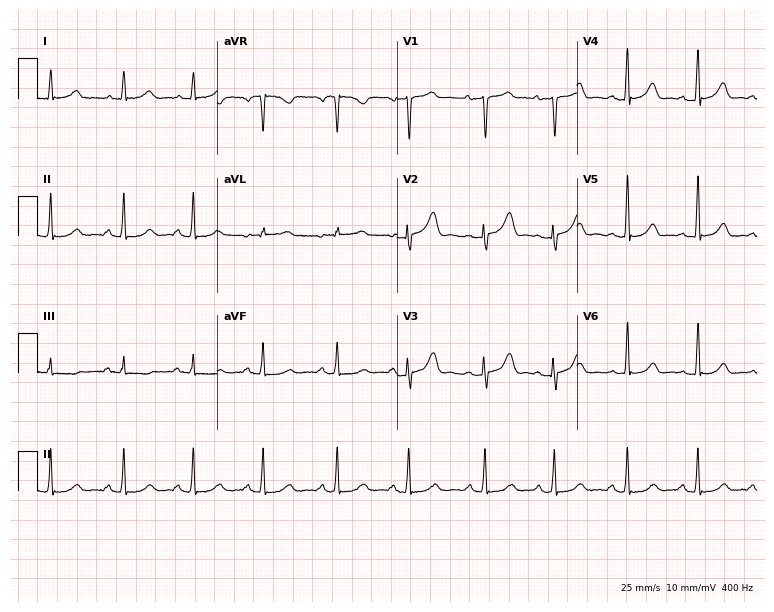
12-lead ECG from a 37-year-old woman. Labelled as a normal ECG.